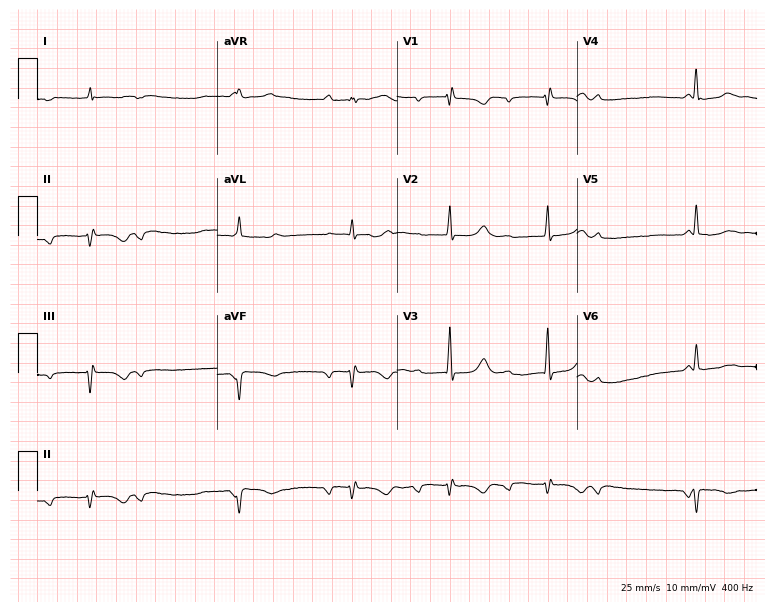
Resting 12-lead electrocardiogram. Patient: a 74-year-old female. The tracing shows first-degree AV block.